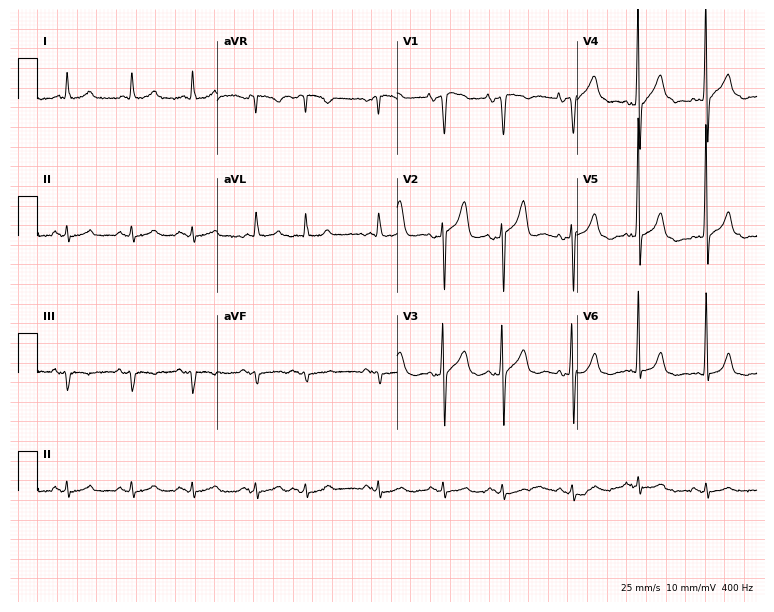
Electrocardiogram, a 76-year-old male. Of the six screened findings (first-degree AV block, right bundle branch block (RBBB), left bundle branch block (LBBB), sinus bradycardia, atrial fibrillation (AF), sinus tachycardia), none is recorded. Other findings, if any, are not listed.